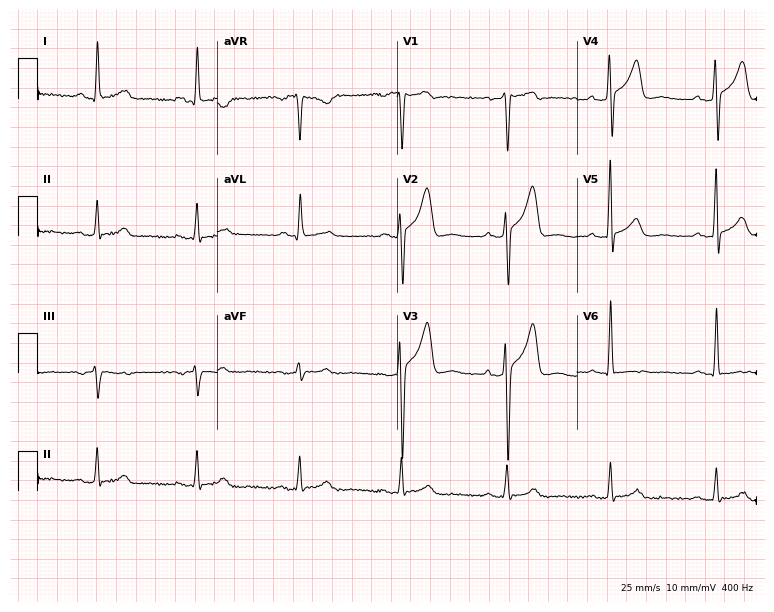
ECG — a male patient, 54 years old. Screened for six findings — first-degree AV block, right bundle branch block (RBBB), left bundle branch block (LBBB), sinus bradycardia, atrial fibrillation (AF), sinus tachycardia — none is recorded. Only these six findings were labelled.